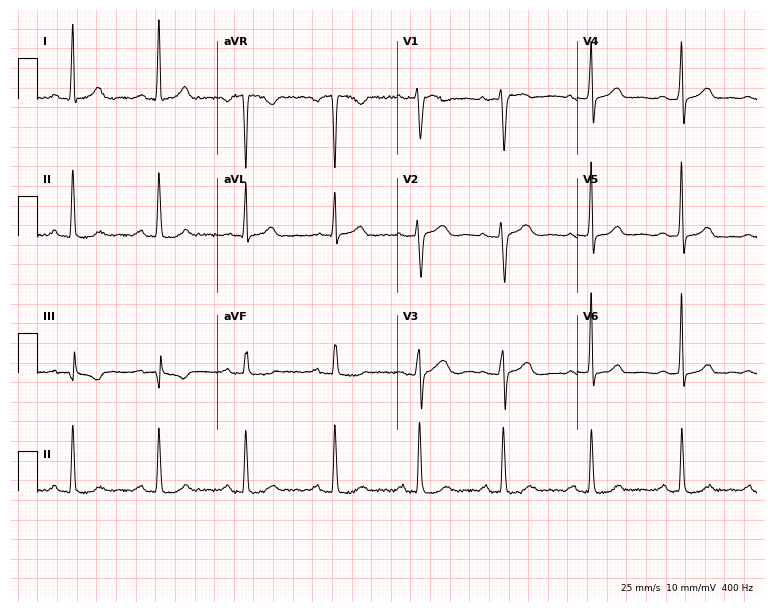
Resting 12-lead electrocardiogram (7.3-second recording at 400 Hz). Patient: a female, 43 years old. Read as a normal ECG.